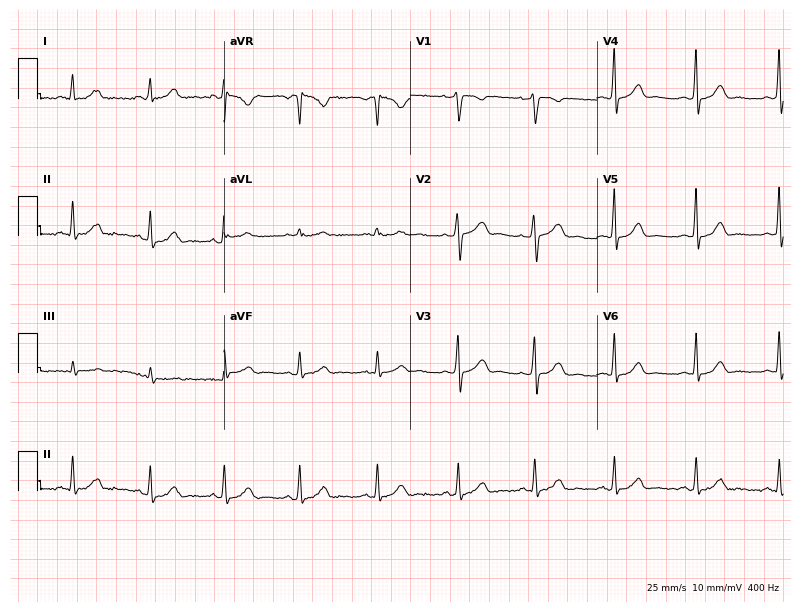
12-lead ECG (7.6-second recording at 400 Hz) from a 36-year-old woman. Screened for six findings — first-degree AV block, right bundle branch block, left bundle branch block, sinus bradycardia, atrial fibrillation, sinus tachycardia — none is recorded. Findings outside these six are not listed.